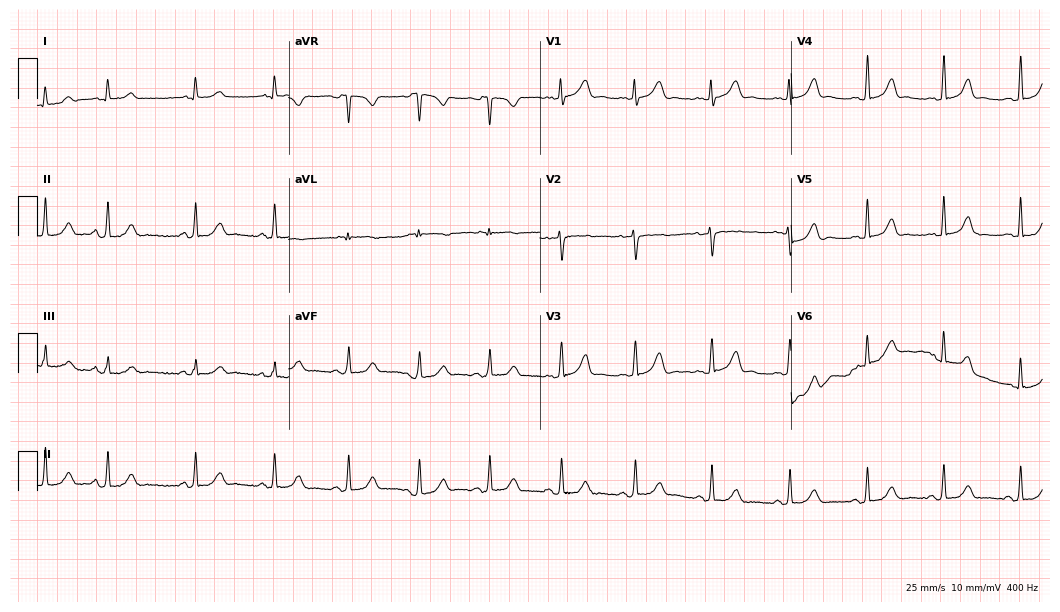
12-lead ECG from a 20-year-old female patient. No first-degree AV block, right bundle branch block, left bundle branch block, sinus bradycardia, atrial fibrillation or sinus tachycardia recorded for this tracing. Other findings, if any, are not listed.